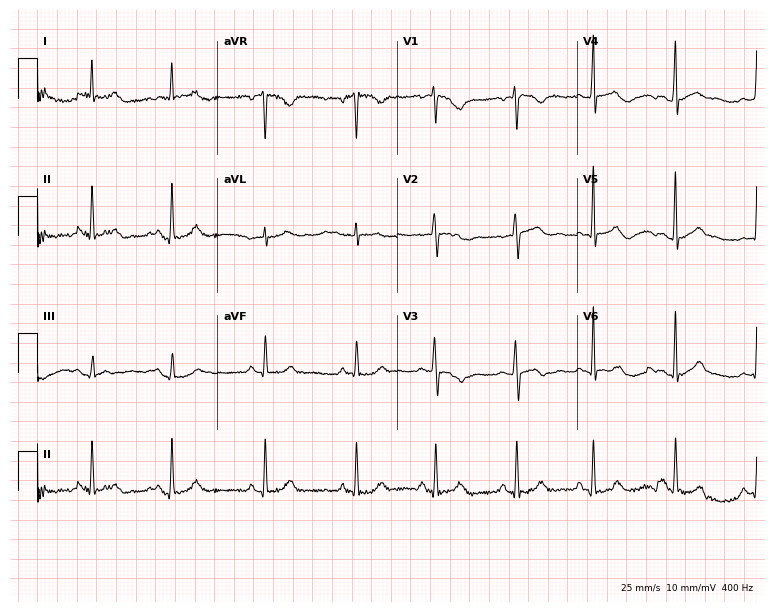
Electrocardiogram (7.3-second recording at 400 Hz), a 33-year-old female patient. Overall reading on record: normal ECG.